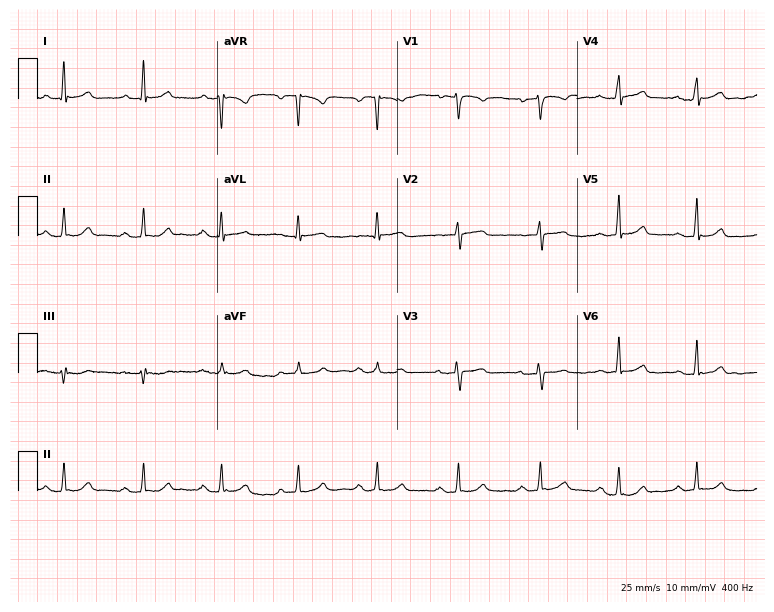
ECG (7.3-second recording at 400 Hz) — a woman, 66 years old. Screened for six findings — first-degree AV block, right bundle branch block (RBBB), left bundle branch block (LBBB), sinus bradycardia, atrial fibrillation (AF), sinus tachycardia — none is recorded. Only these six findings were labelled.